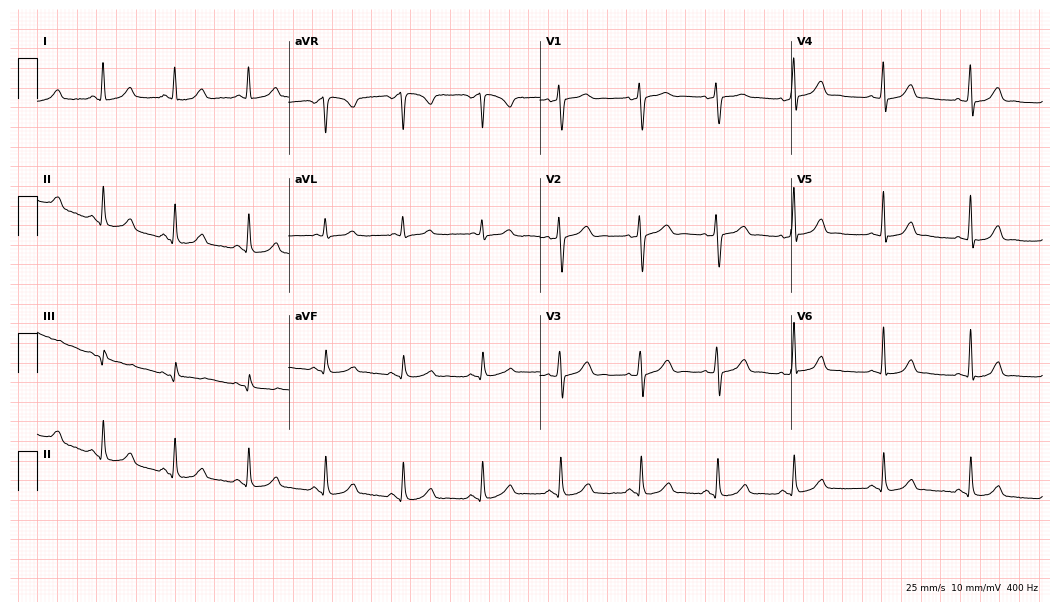
Electrocardiogram (10.2-second recording at 400 Hz), a 41-year-old female. Of the six screened findings (first-degree AV block, right bundle branch block, left bundle branch block, sinus bradycardia, atrial fibrillation, sinus tachycardia), none is recorded. Only these six findings were labelled.